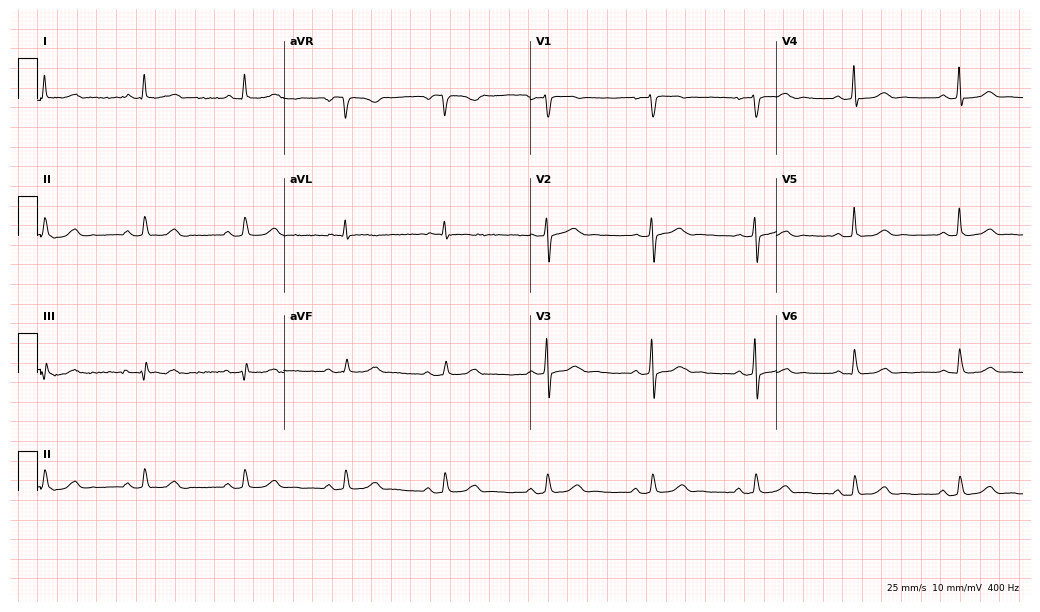
Standard 12-lead ECG recorded from a male, 54 years old (10-second recording at 400 Hz). Read as a normal ECG.